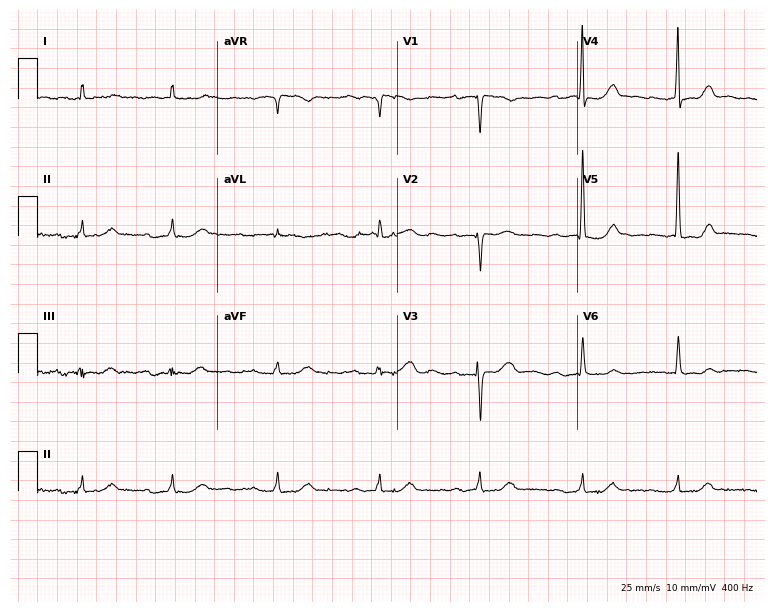
Electrocardiogram (7.3-second recording at 400 Hz), a 74-year-old female patient. Interpretation includes first-degree AV block, atrial fibrillation (AF).